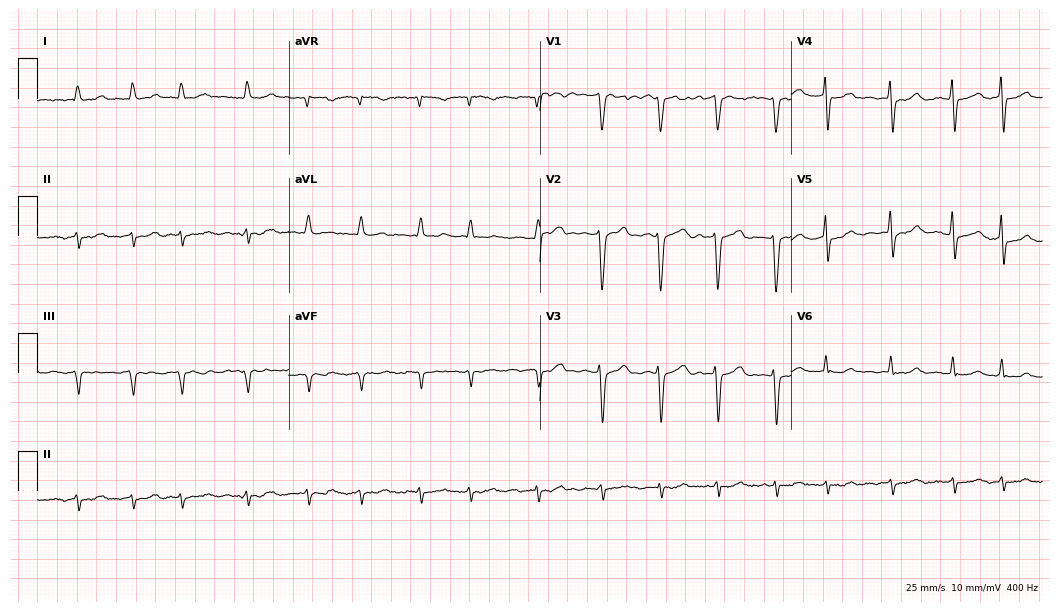
12-lead ECG from a male, 70 years old (10.2-second recording at 400 Hz). Shows atrial fibrillation.